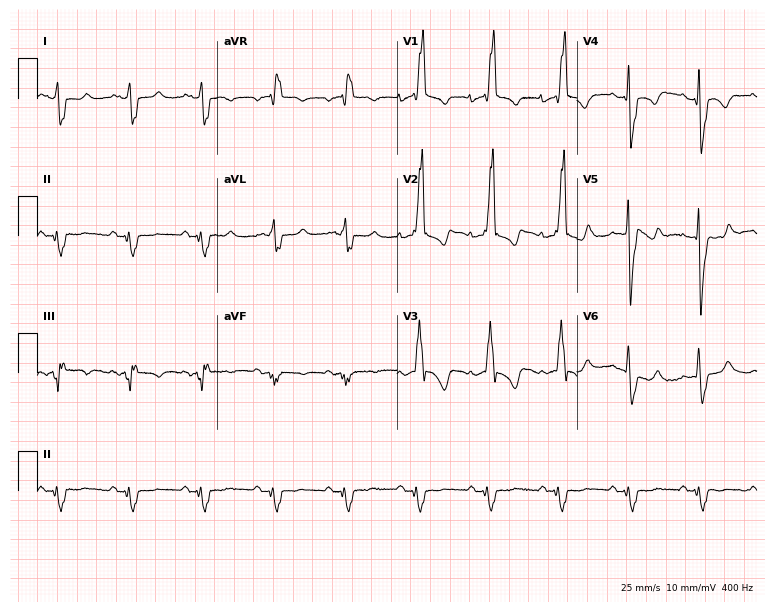
ECG (7.3-second recording at 400 Hz) — a male patient, 74 years old. Findings include right bundle branch block (RBBB).